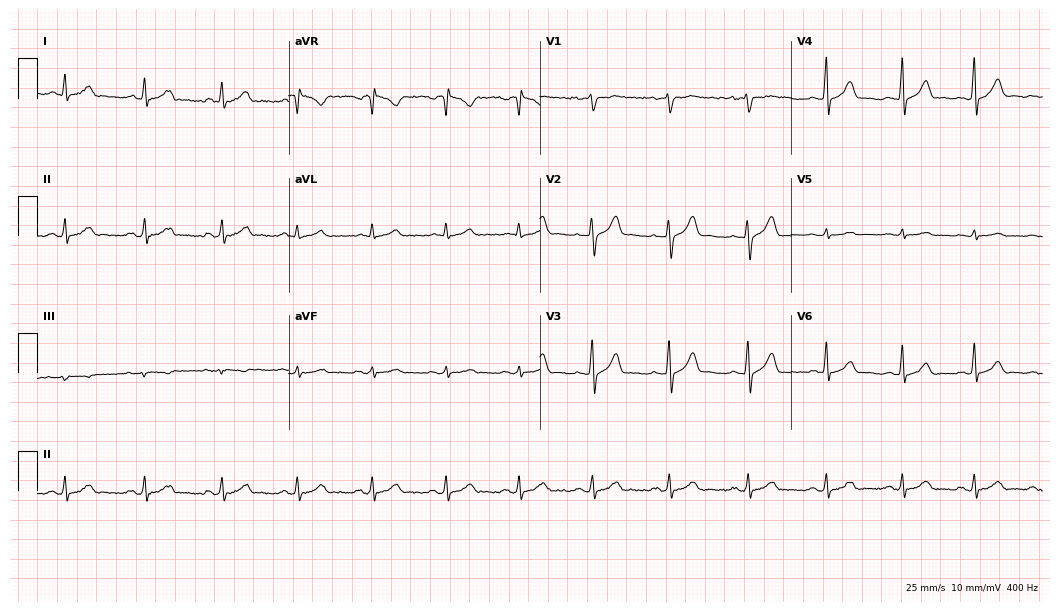
ECG (10.2-second recording at 400 Hz) — a male, 36 years old. Labelled as a normal ECG.